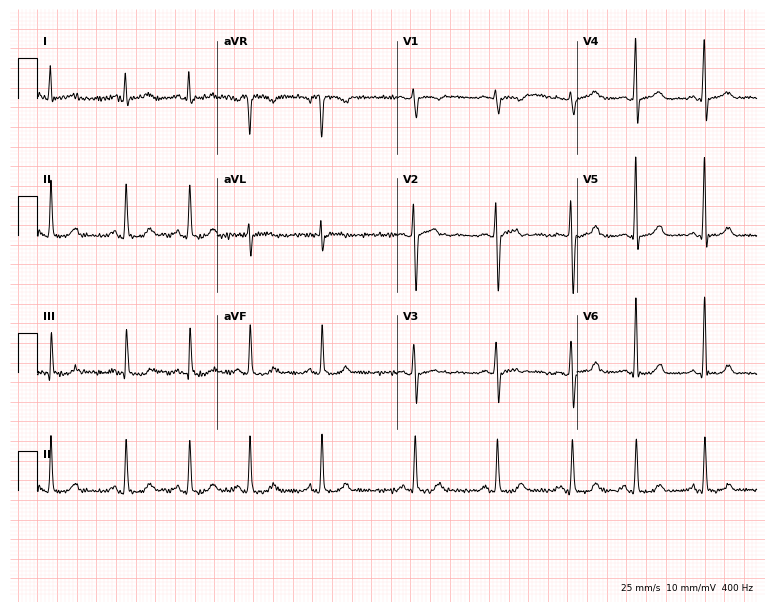
Resting 12-lead electrocardiogram (7.3-second recording at 400 Hz). Patient: a 20-year-old woman. None of these six findings is recorded: first-degree AV block, right bundle branch block, left bundle branch block, sinus bradycardia, atrial fibrillation, sinus tachycardia. Other findings, if any, are not listed.